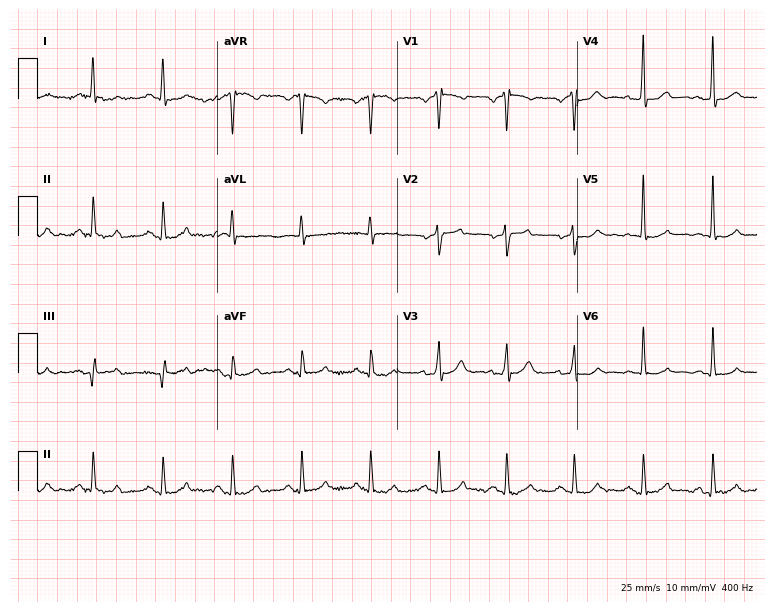
Resting 12-lead electrocardiogram. Patient: a 51-year-old man. Read as a normal ECG.